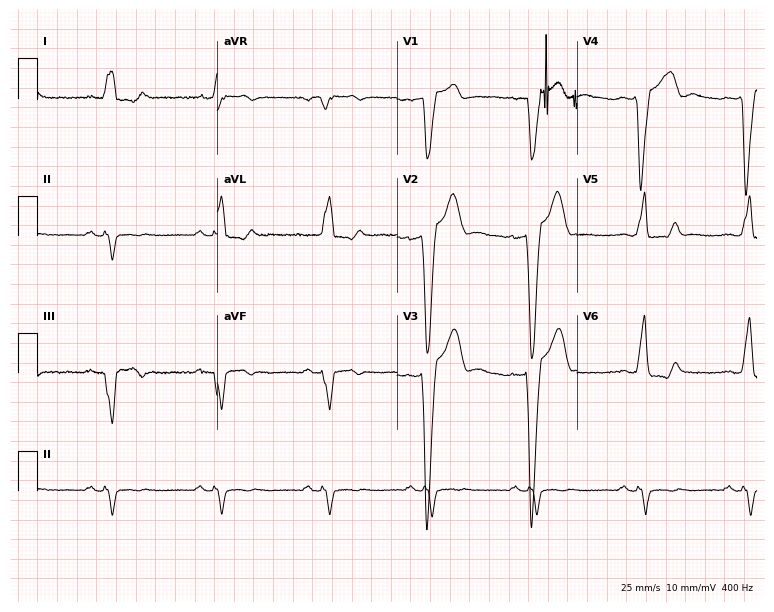
12-lead ECG from a 47-year-old man. Shows left bundle branch block.